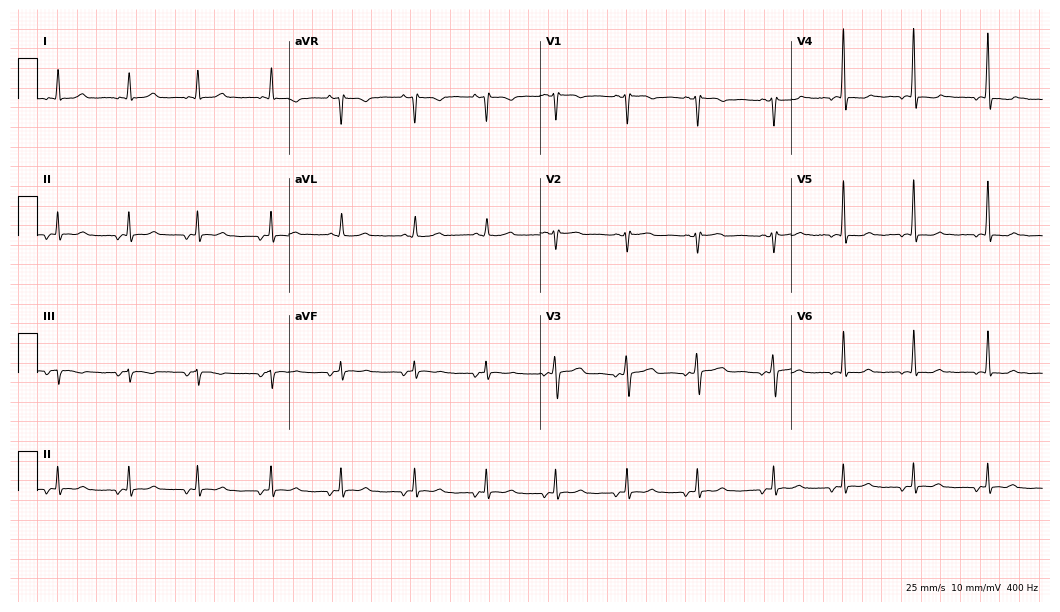
ECG (10.2-second recording at 400 Hz) — a 43-year-old female. Screened for six findings — first-degree AV block, right bundle branch block, left bundle branch block, sinus bradycardia, atrial fibrillation, sinus tachycardia — none is recorded.